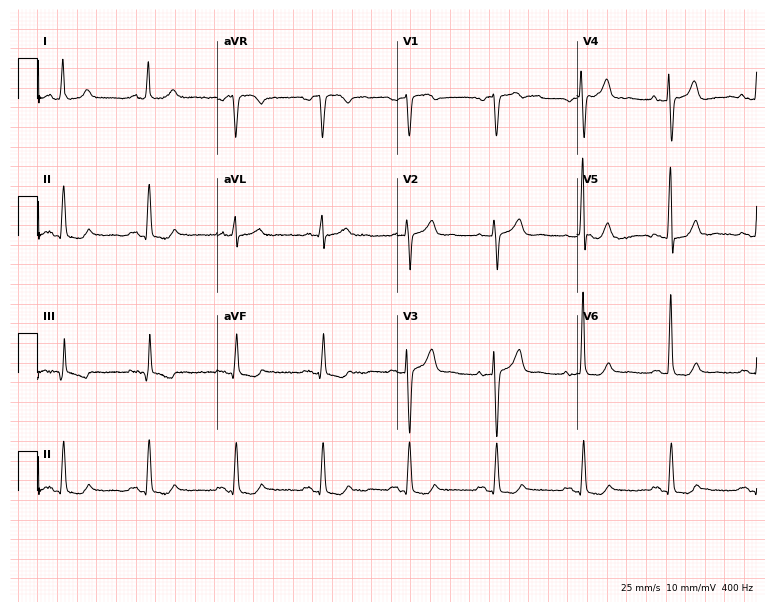
Electrocardiogram, a woman, 68 years old. Overall reading on record: normal ECG.